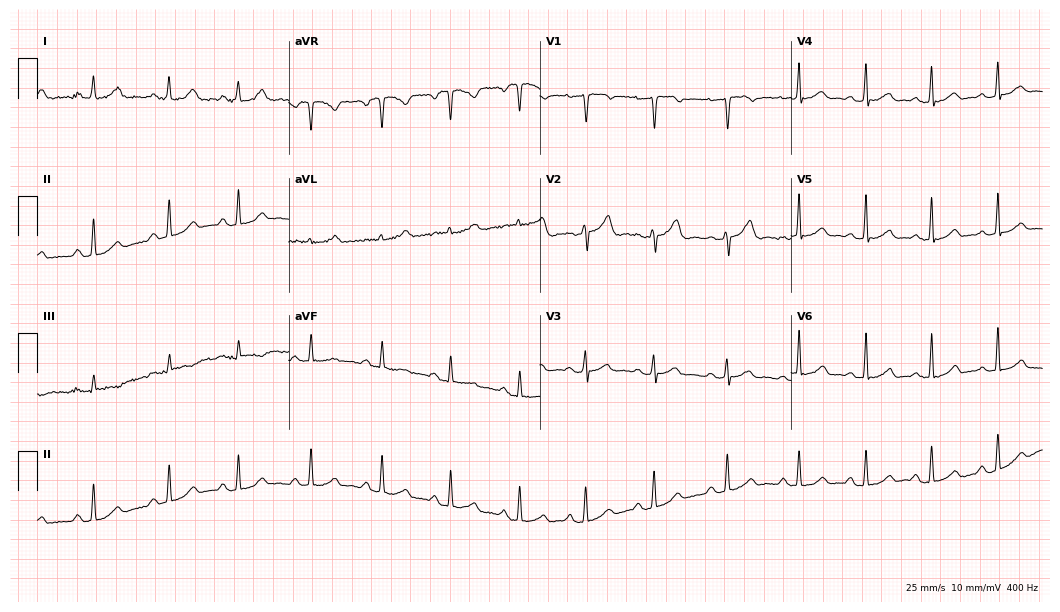
12-lead ECG from a 23-year-old female patient. No first-degree AV block, right bundle branch block, left bundle branch block, sinus bradycardia, atrial fibrillation or sinus tachycardia recorded for this tracing.